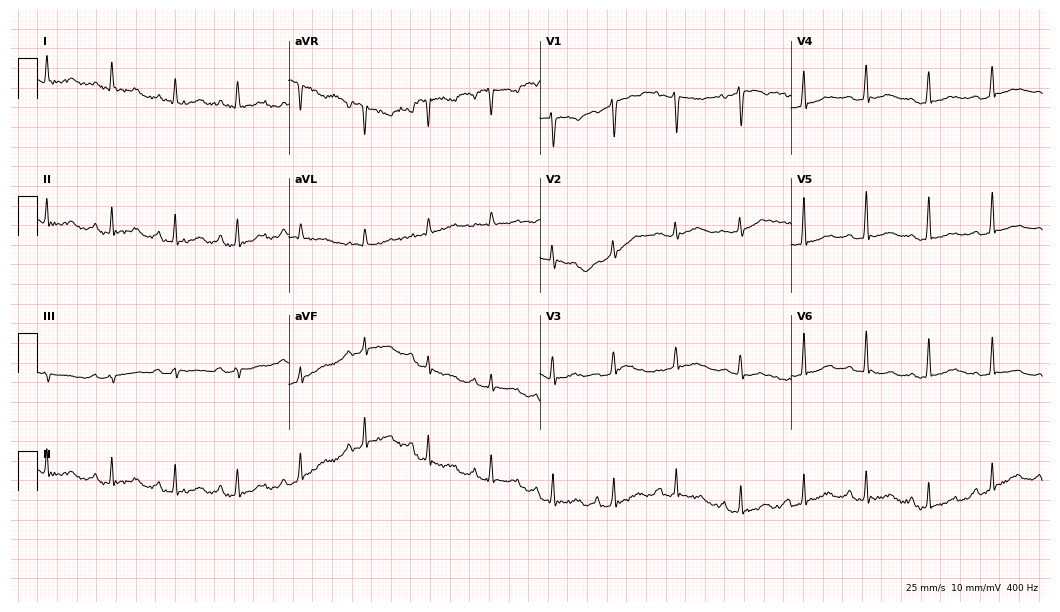
Electrocardiogram, a female, 51 years old. Overall reading on record: normal ECG.